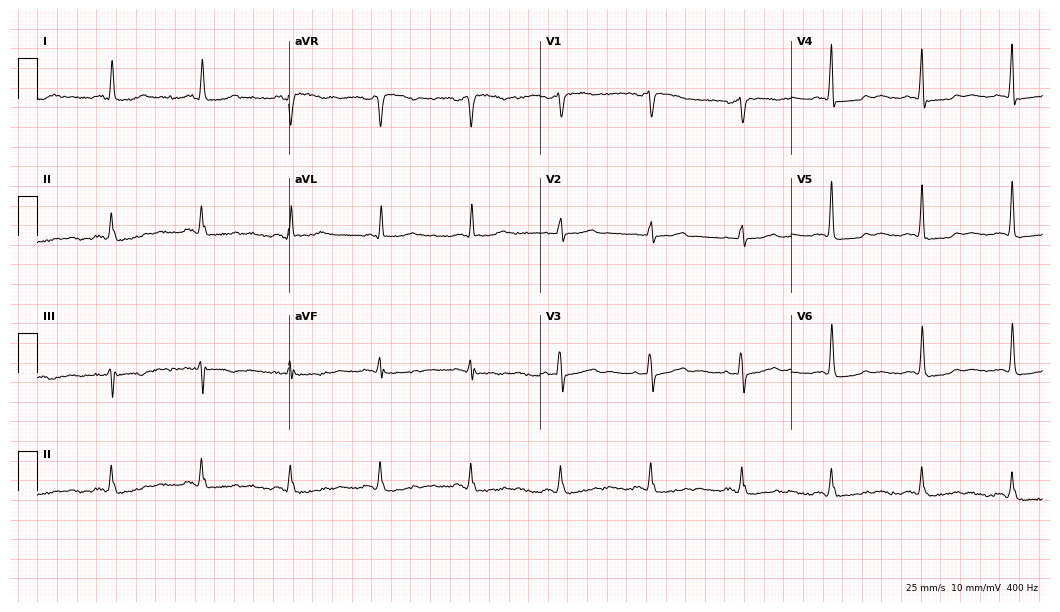
Standard 12-lead ECG recorded from a woman, 59 years old (10.2-second recording at 400 Hz). Read as a normal ECG.